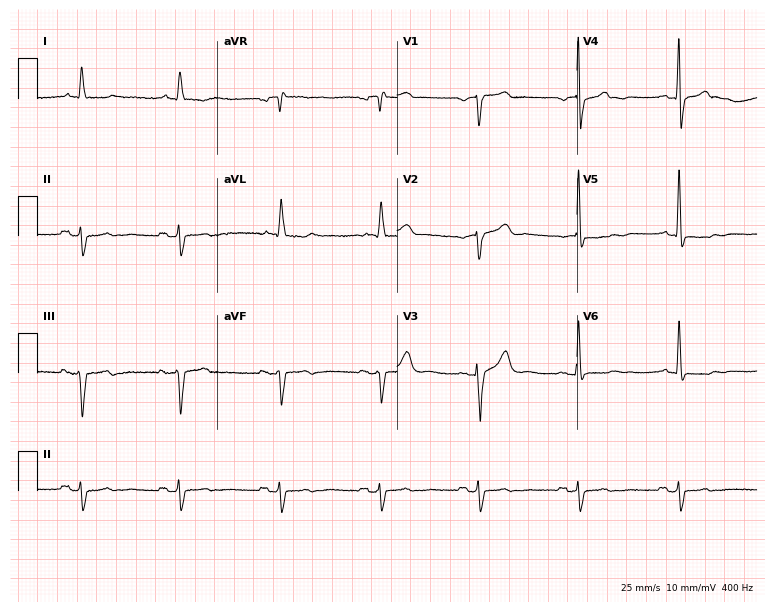
12-lead ECG from a male, 75 years old. No first-degree AV block, right bundle branch block, left bundle branch block, sinus bradycardia, atrial fibrillation or sinus tachycardia recorded for this tracing.